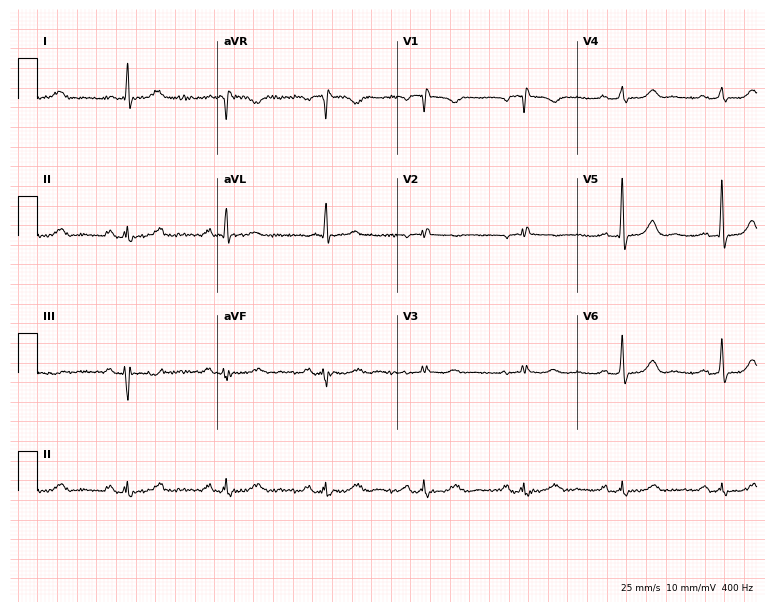
12-lead ECG from a 68-year-old female patient. No first-degree AV block, right bundle branch block, left bundle branch block, sinus bradycardia, atrial fibrillation or sinus tachycardia recorded for this tracing. Other findings, if any, are not listed.